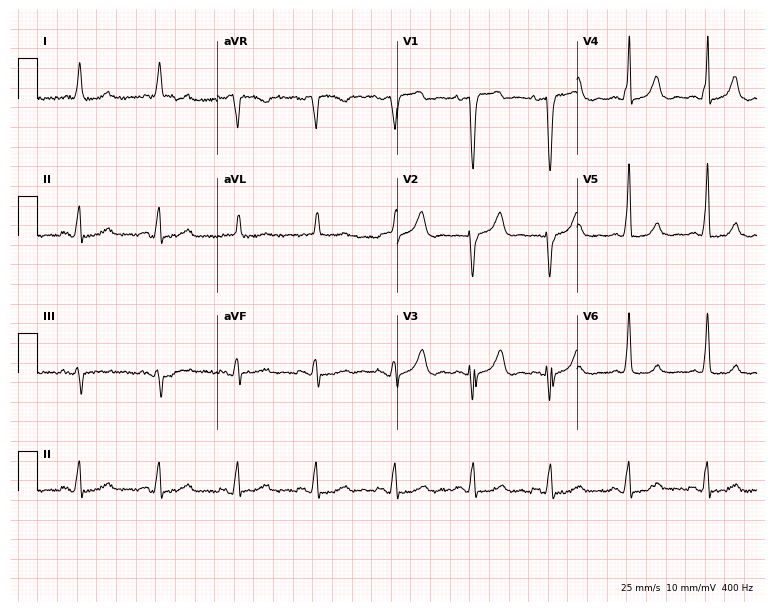
12-lead ECG from a woman, 76 years old. No first-degree AV block, right bundle branch block (RBBB), left bundle branch block (LBBB), sinus bradycardia, atrial fibrillation (AF) or sinus tachycardia recorded for this tracing. Other findings, if any, are not listed.